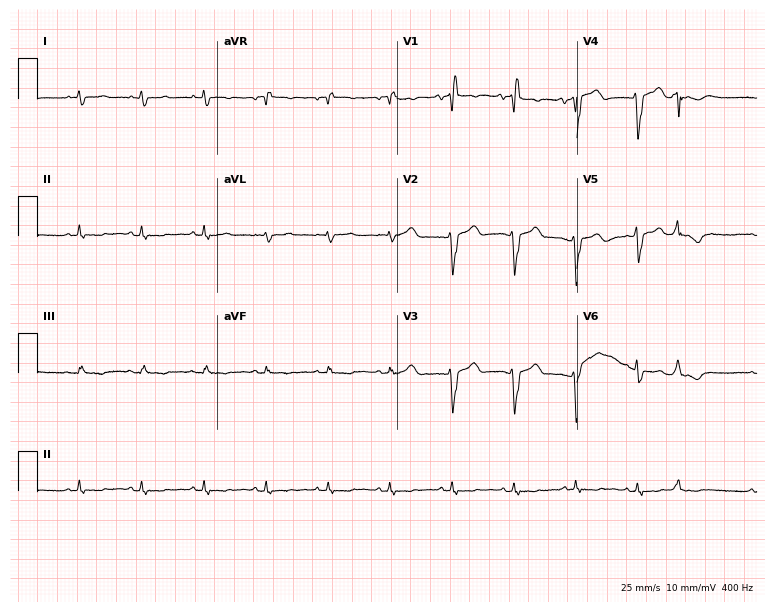
12-lead ECG from a 75-year-old man. Screened for six findings — first-degree AV block, right bundle branch block, left bundle branch block, sinus bradycardia, atrial fibrillation, sinus tachycardia — none is recorded.